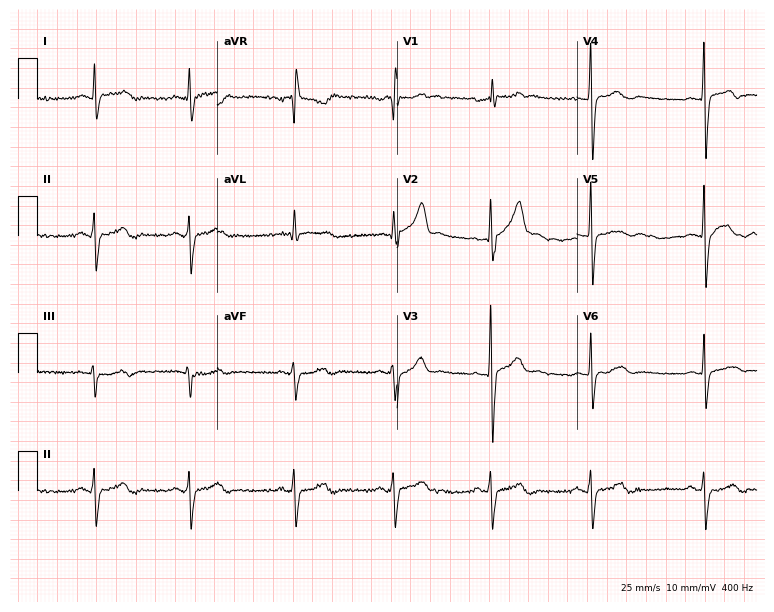
12-lead ECG from a man, 23 years old. Screened for six findings — first-degree AV block, right bundle branch block, left bundle branch block, sinus bradycardia, atrial fibrillation, sinus tachycardia — none is recorded.